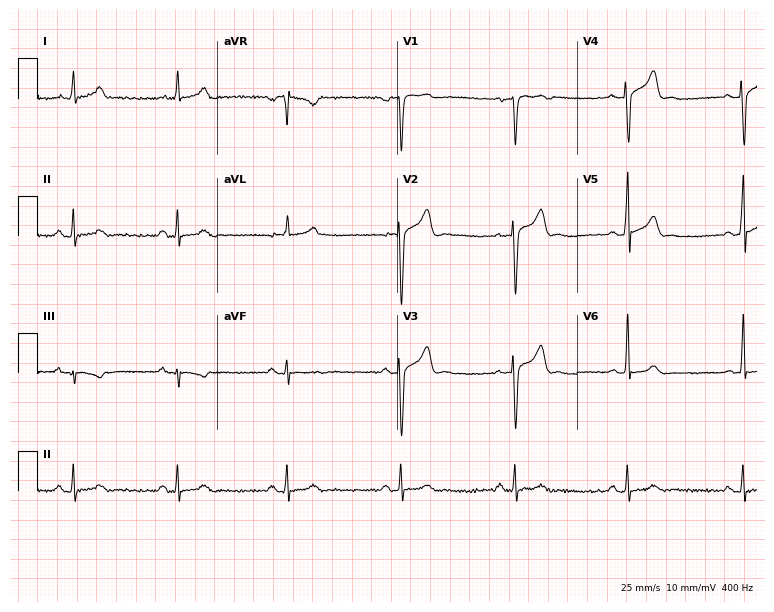
ECG (7.3-second recording at 400 Hz) — a 44-year-old male patient. Labelled as a normal ECG.